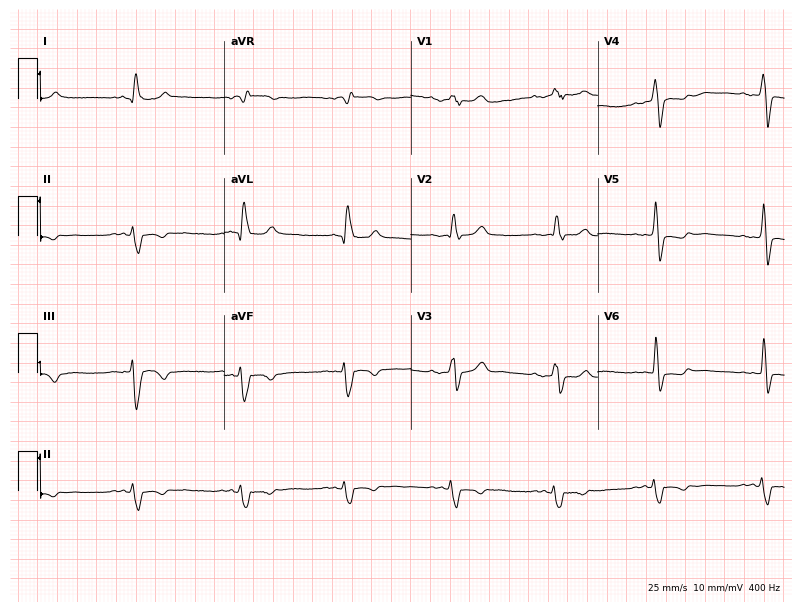
Electrocardiogram, a male, 65 years old. Of the six screened findings (first-degree AV block, right bundle branch block, left bundle branch block, sinus bradycardia, atrial fibrillation, sinus tachycardia), none is recorded.